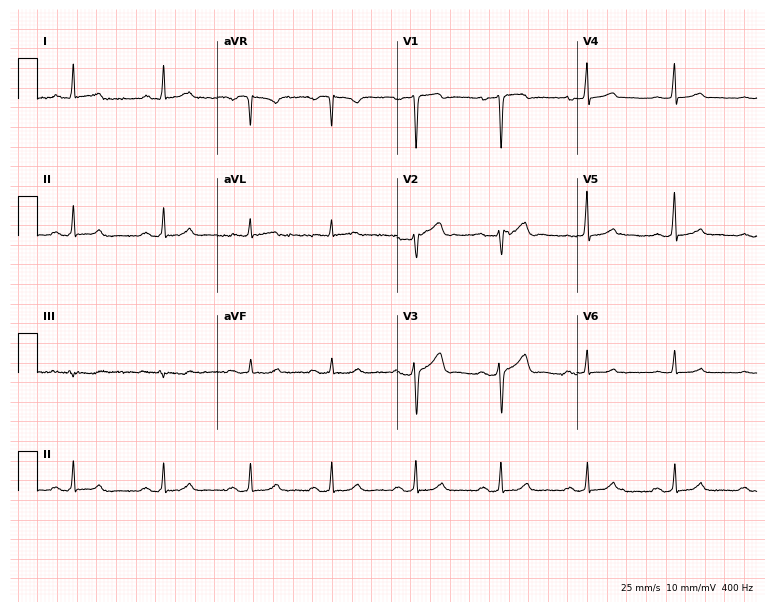
Electrocardiogram (7.3-second recording at 400 Hz), a 47-year-old male patient. Of the six screened findings (first-degree AV block, right bundle branch block (RBBB), left bundle branch block (LBBB), sinus bradycardia, atrial fibrillation (AF), sinus tachycardia), none is recorded. Other findings, if any, are not listed.